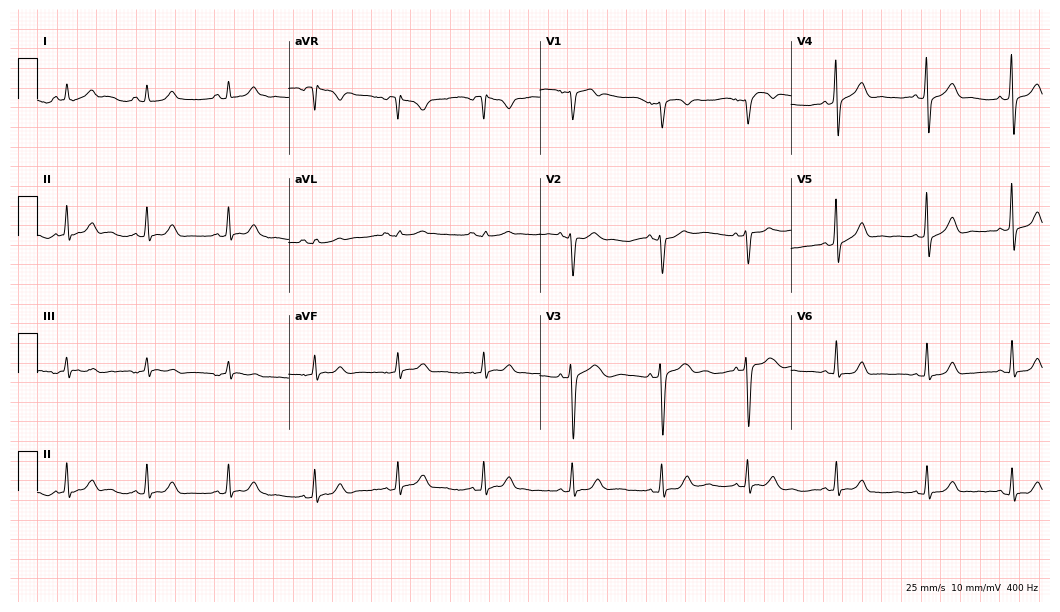
ECG — a 35-year-old woman. Labelled as a normal ECG.